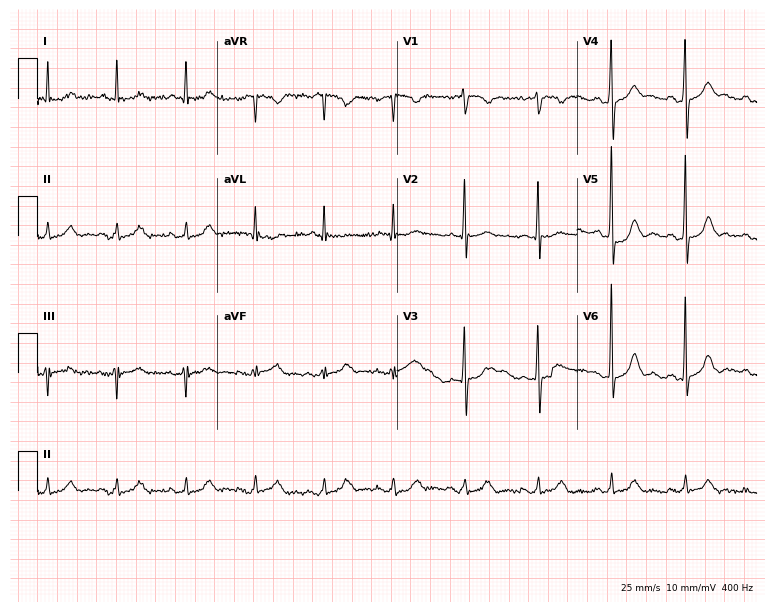
Resting 12-lead electrocardiogram. Patient: a 71-year-old male. None of these six findings is recorded: first-degree AV block, right bundle branch block, left bundle branch block, sinus bradycardia, atrial fibrillation, sinus tachycardia. Other findings, if any, are not listed.